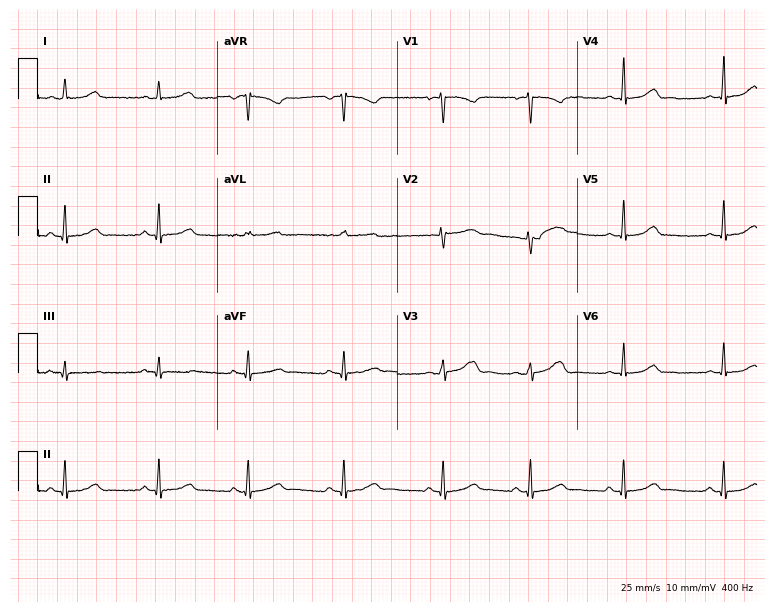
Resting 12-lead electrocardiogram (7.3-second recording at 400 Hz). Patient: a 32-year-old female. Read as a normal ECG.